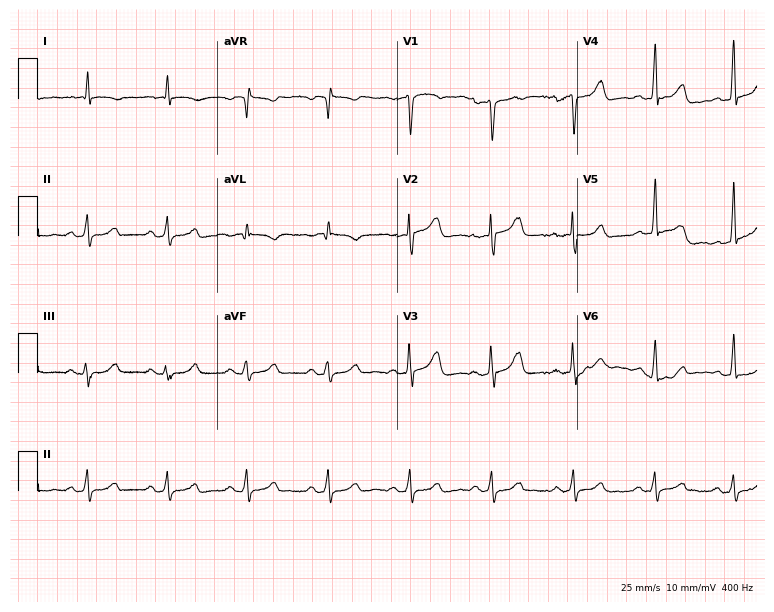
12-lead ECG from a 60-year-old woman. Screened for six findings — first-degree AV block, right bundle branch block (RBBB), left bundle branch block (LBBB), sinus bradycardia, atrial fibrillation (AF), sinus tachycardia — none is recorded.